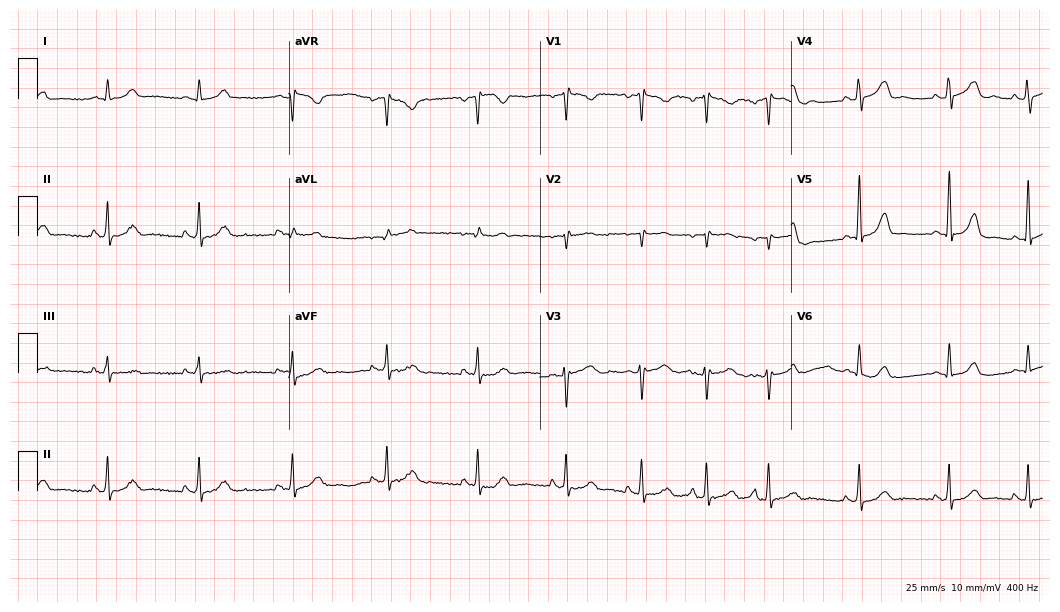
12-lead ECG from a 26-year-old female patient. Screened for six findings — first-degree AV block, right bundle branch block (RBBB), left bundle branch block (LBBB), sinus bradycardia, atrial fibrillation (AF), sinus tachycardia — none is recorded. Other findings, if any, are not listed.